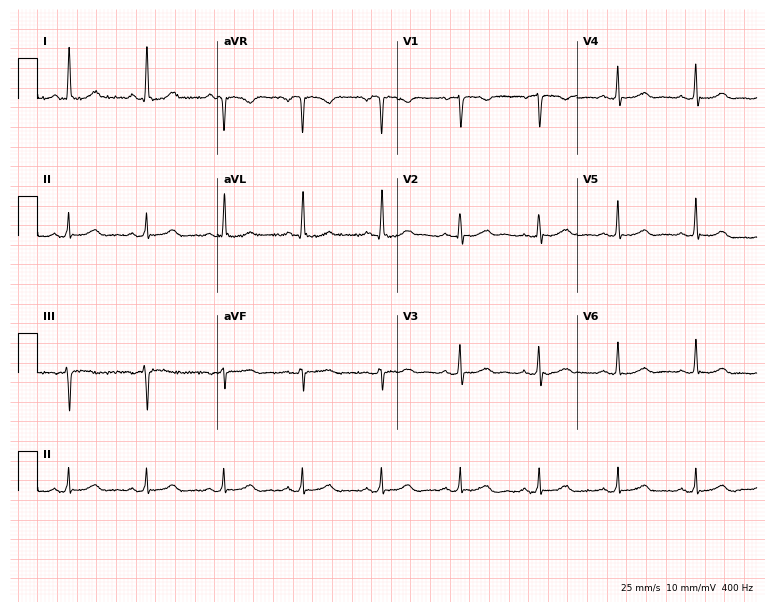
Resting 12-lead electrocardiogram. Patient: a female, 62 years old. None of these six findings is recorded: first-degree AV block, right bundle branch block, left bundle branch block, sinus bradycardia, atrial fibrillation, sinus tachycardia.